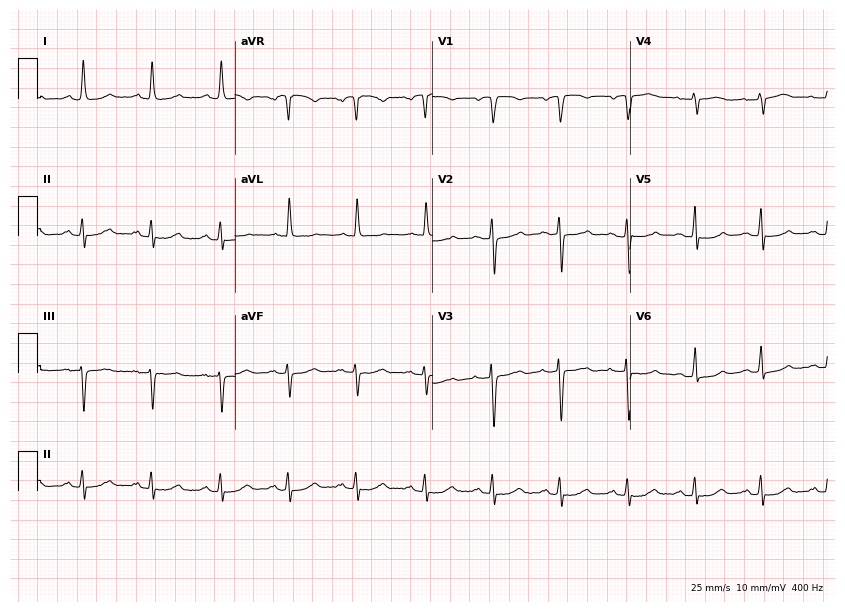
Electrocardiogram, a female patient, 77 years old. Of the six screened findings (first-degree AV block, right bundle branch block (RBBB), left bundle branch block (LBBB), sinus bradycardia, atrial fibrillation (AF), sinus tachycardia), none is recorded.